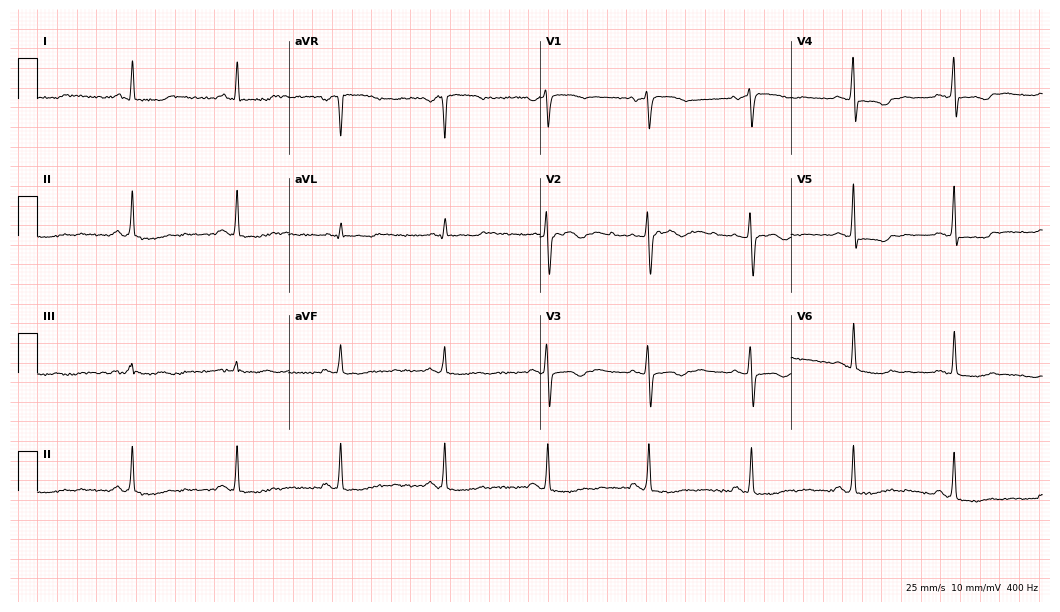
12-lead ECG from a 56-year-old female patient (10.2-second recording at 400 Hz). No first-degree AV block, right bundle branch block, left bundle branch block, sinus bradycardia, atrial fibrillation or sinus tachycardia recorded for this tracing.